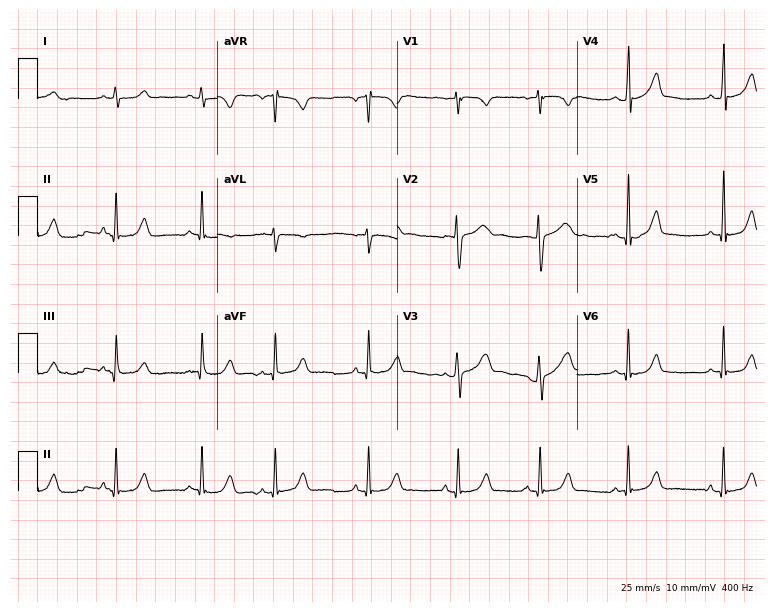
ECG — a 19-year-old female. Labelled as a normal ECG.